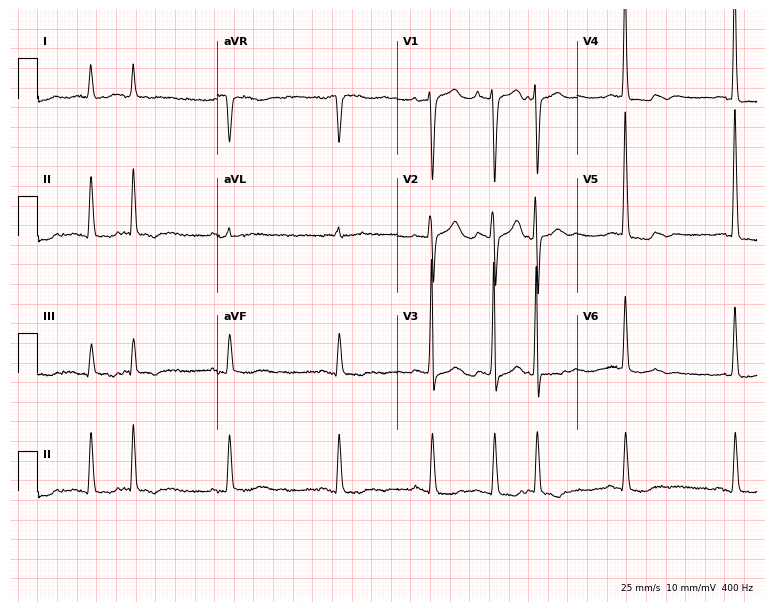
ECG (7.3-second recording at 400 Hz) — an 83-year-old female patient. Screened for six findings — first-degree AV block, right bundle branch block, left bundle branch block, sinus bradycardia, atrial fibrillation, sinus tachycardia — none is recorded.